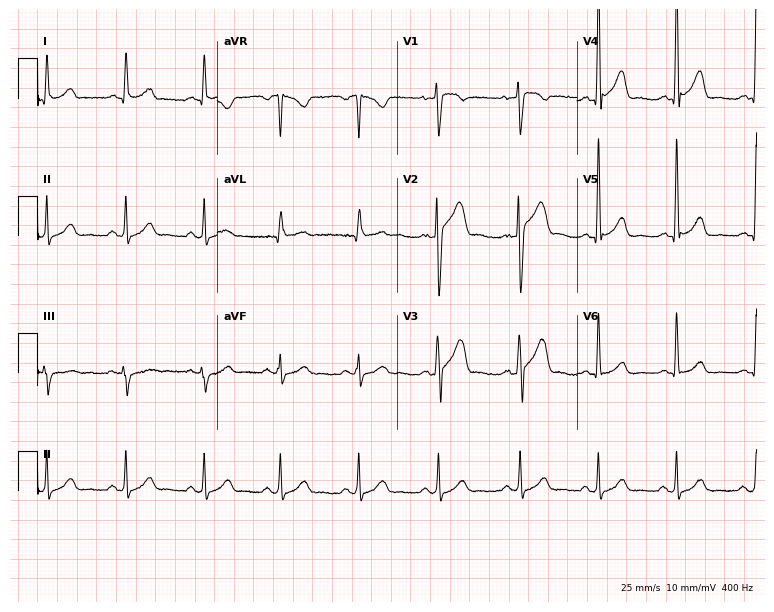
Resting 12-lead electrocardiogram (7.3-second recording at 400 Hz). Patient: a male, 47 years old. None of these six findings is recorded: first-degree AV block, right bundle branch block, left bundle branch block, sinus bradycardia, atrial fibrillation, sinus tachycardia.